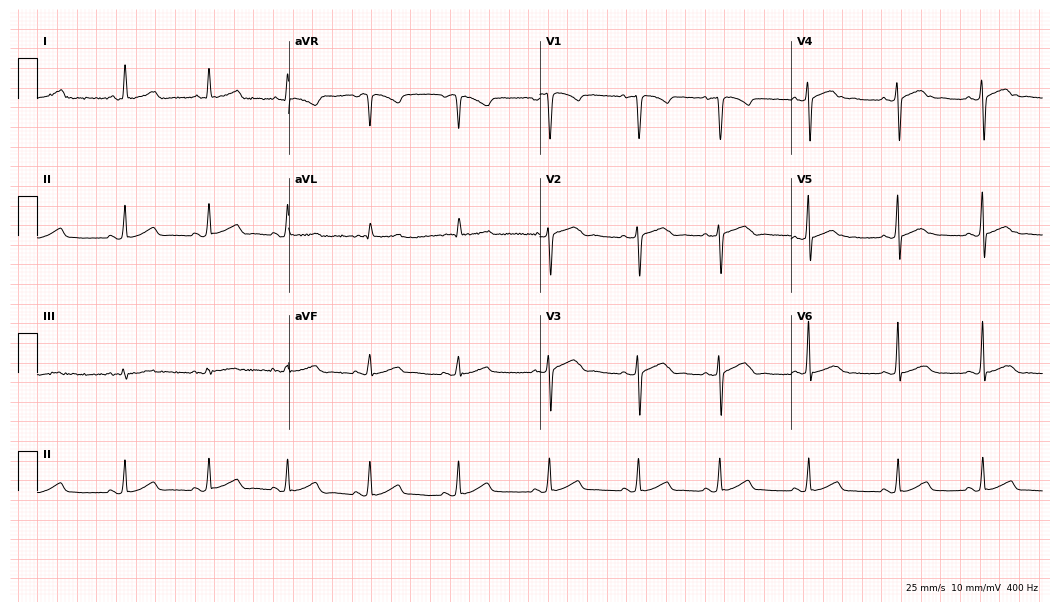
Standard 12-lead ECG recorded from a female patient, 25 years old (10.2-second recording at 400 Hz). Read as a normal ECG.